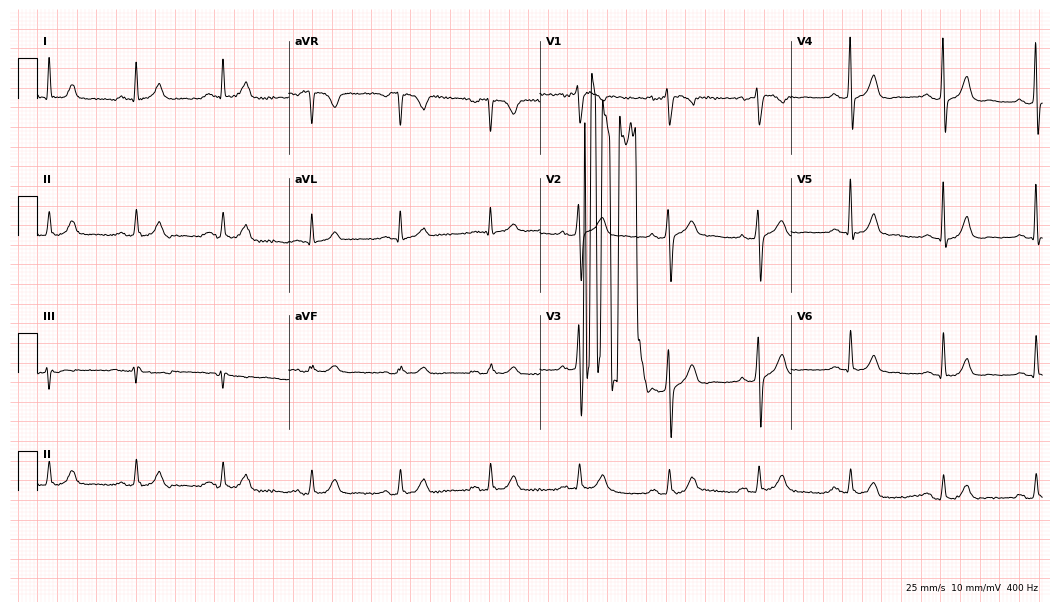
Resting 12-lead electrocardiogram. Patient: a 69-year-old male. Read as a normal ECG.